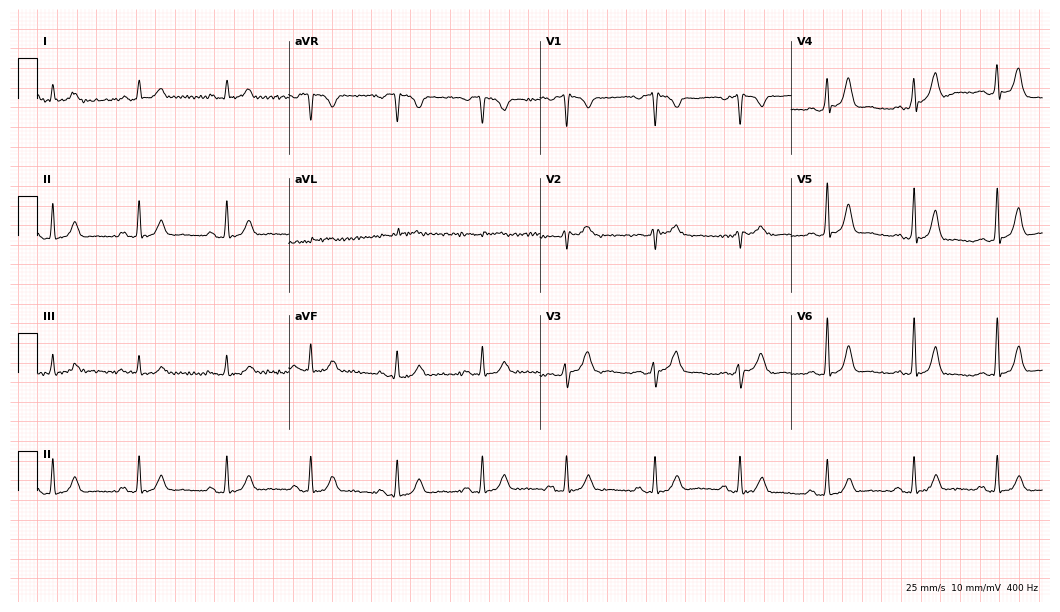
12-lead ECG from a 40-year-old female patient. Screened for six findings — first-degree AV block, right bundle branch block, left bundle branch block, sinus bradycardia, atrial fibrillation, sinus tachycardia — none is recorded. Findings outside these six are not listed.